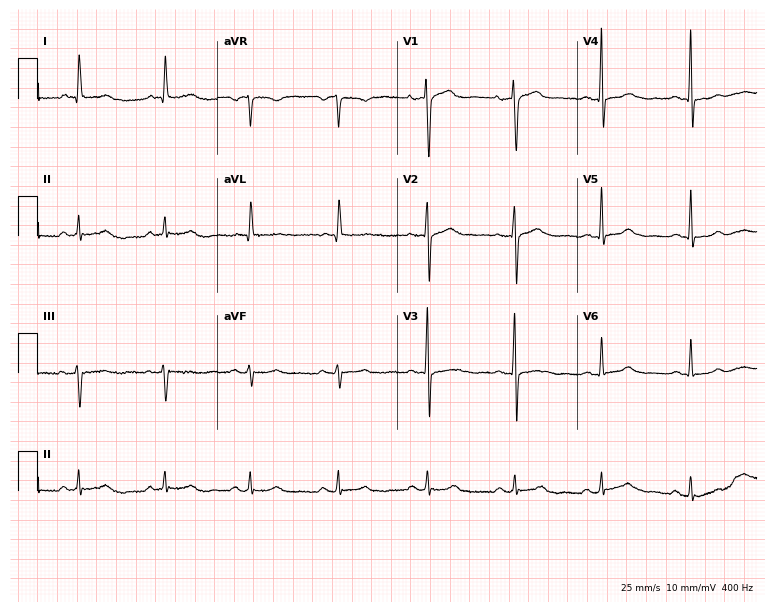
ECG (7.3-second recording at 400 Hz) — a female patient, 74 years old. Labelled as a normal ECG.